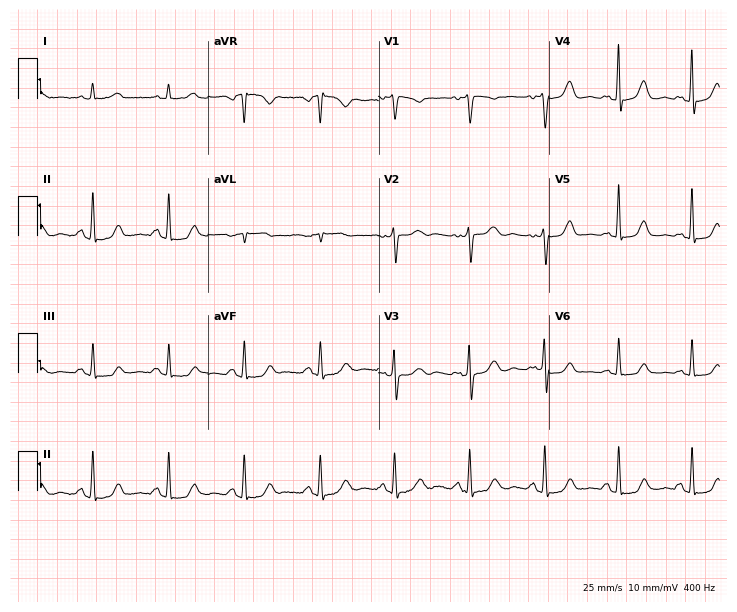
12-lead ECG from a female, 60 years old. No first-degree AV block, right bundle branch block, left bundle branch block, sinus bradycardia, atrial fibrillation or sinus tachycardia recorded for this tracing. Other findings, if any, are not listed.